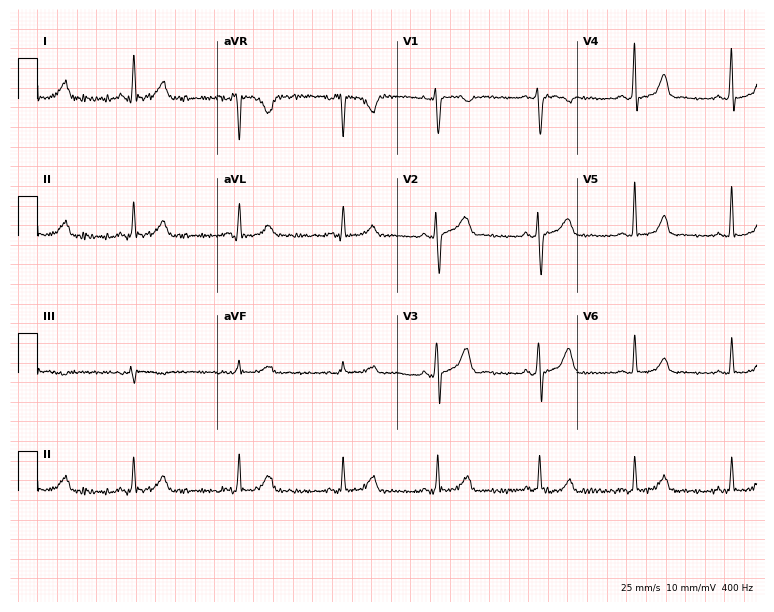
12-lead ECG from a woman, 44 years old (7.3-second recording at 400 Hz). No first-degree AV block, right bundle branch block (RBBB), left bundle branch block (LBBB), sinus bradycardia, atrial fibrillation (AF) or sinus tachycardia recorded for this tracing. Only these six findings were labelled.